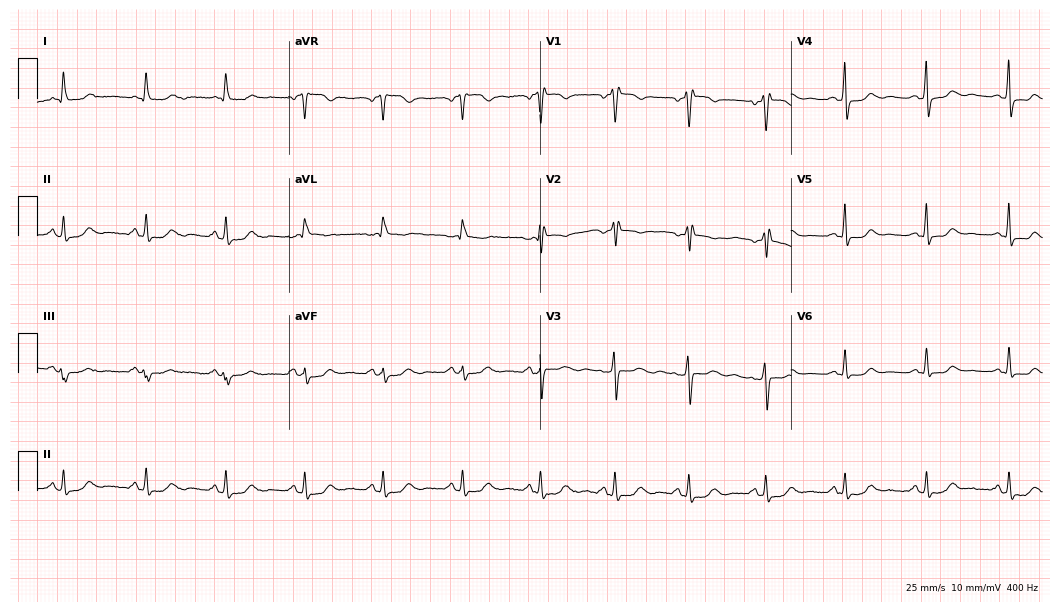
Standard 12-lead ECG recorded from a female patient, 55 years old. None of these six findings is recorded: first-degree AV block, right bundle branch block, left bundle branch block, sinus bradycardia, atrial fibrillation, sinus tachycardia. Other findings, if any, are not listed.